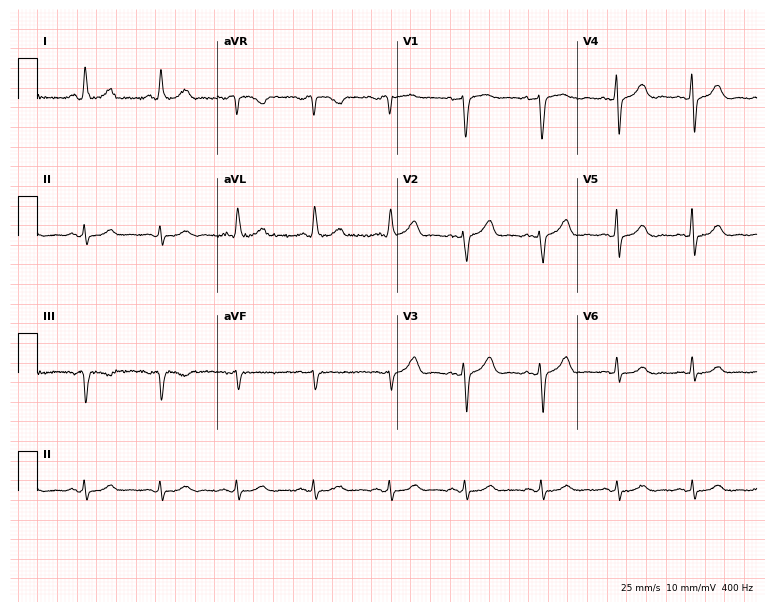
Standard 12-lead ECG recorded from a woman, 62 years old (7.3-second recording at 400 Hz). None of these six findings is recorded: first-degree AV block, right bundle branch block, left bundle branch block, sinus bradycardia, atrial fibrillation, sinus tachycardia.